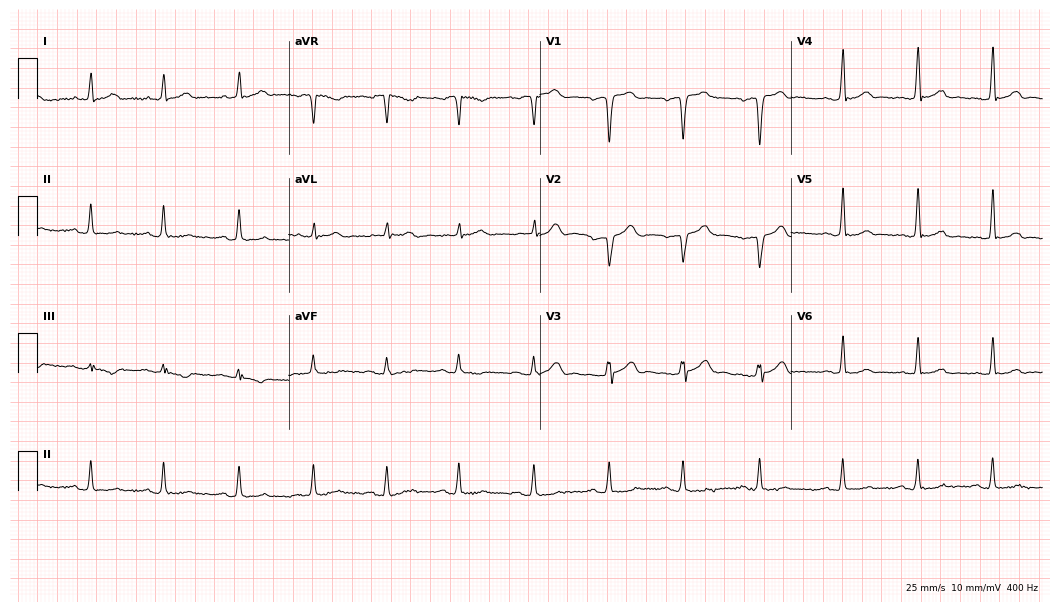
12-lead ECG from a male, 33 years old. Screened for six findings — first-degree AV block, right bundle branch block, left bundle branch block, sinus bradycardia, atrial fibrillation, sinus tachycardia — none is recorded.